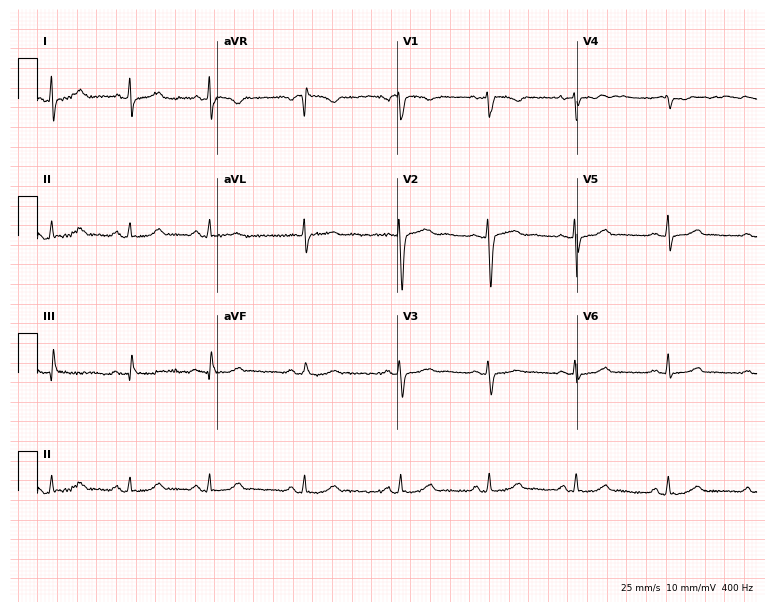
12-lead ECG from a female, 31 years old. Labelled as a normal ECG.